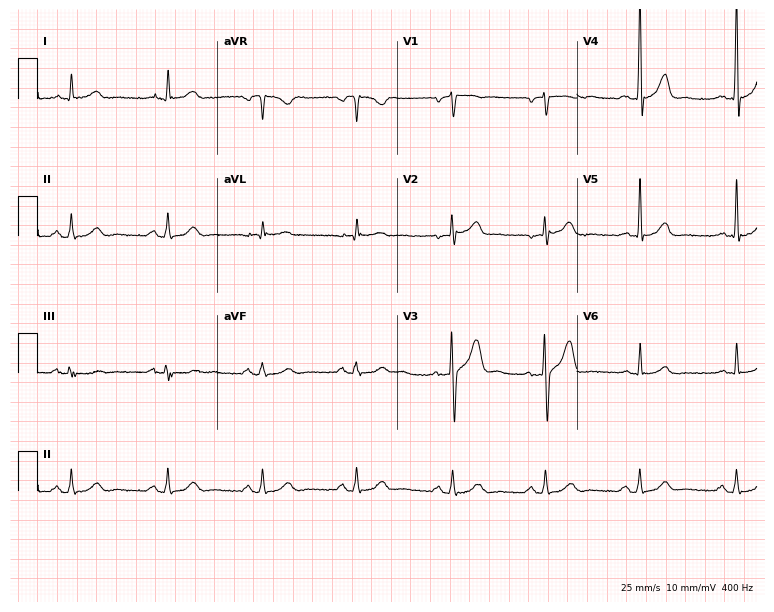
Resting 12-lead electrocardiogram. Patient: a male, 57 years old. None of these six findings is recorded: first-degree AV block, right bundle branch block, left bundle branch block, sinus bradycardia, atrial fibrillation, sinus tachycardia. Findings outside these six are not listed.